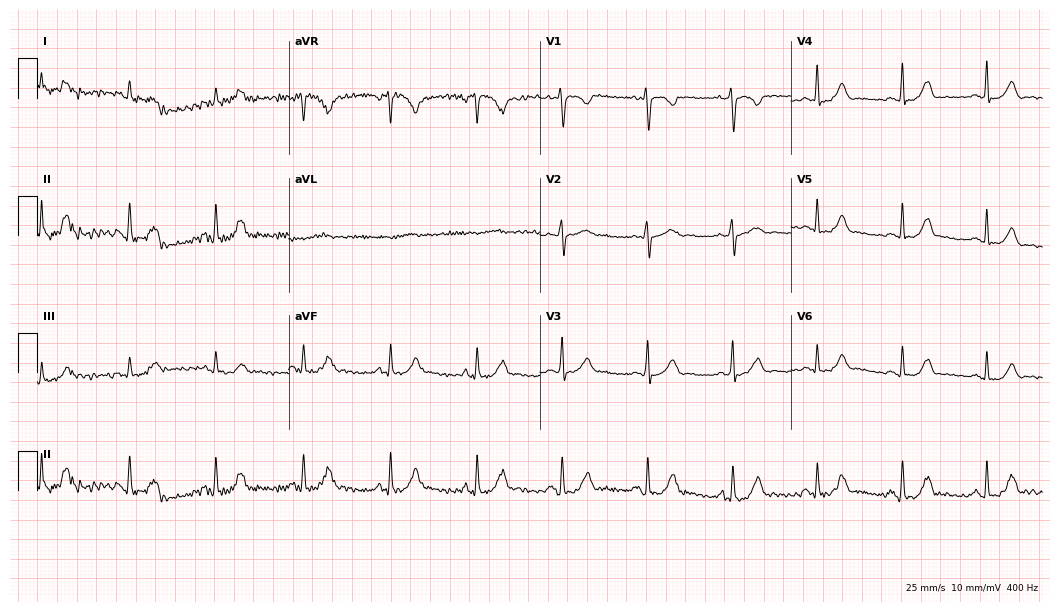
Standard 12-lead ECG recorded from a 35-year-old female patient. Read as a normal ECG.